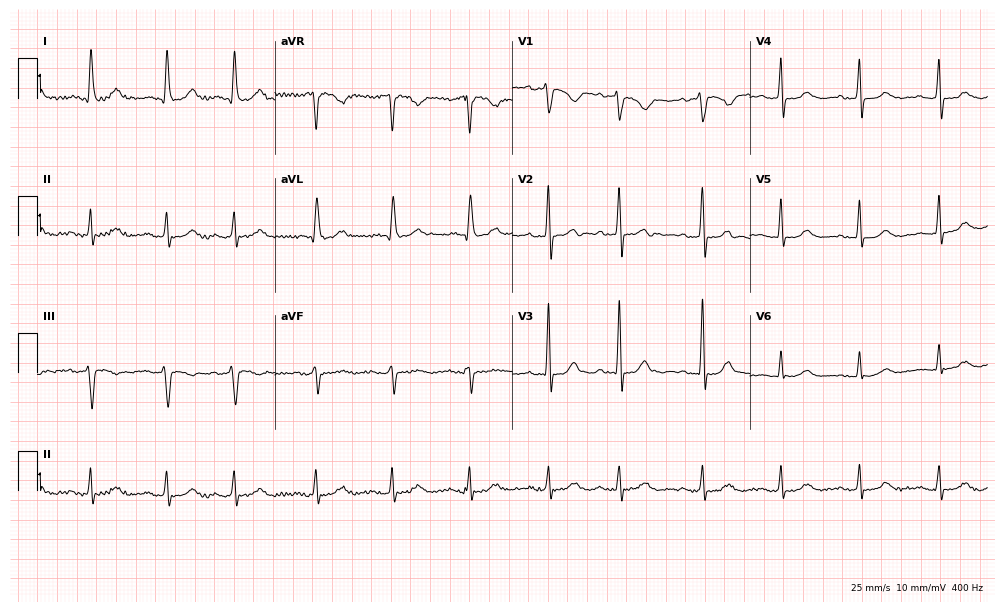
12-lead ECG from a 79-year-old female. Recorded interpretation: within normal limits.